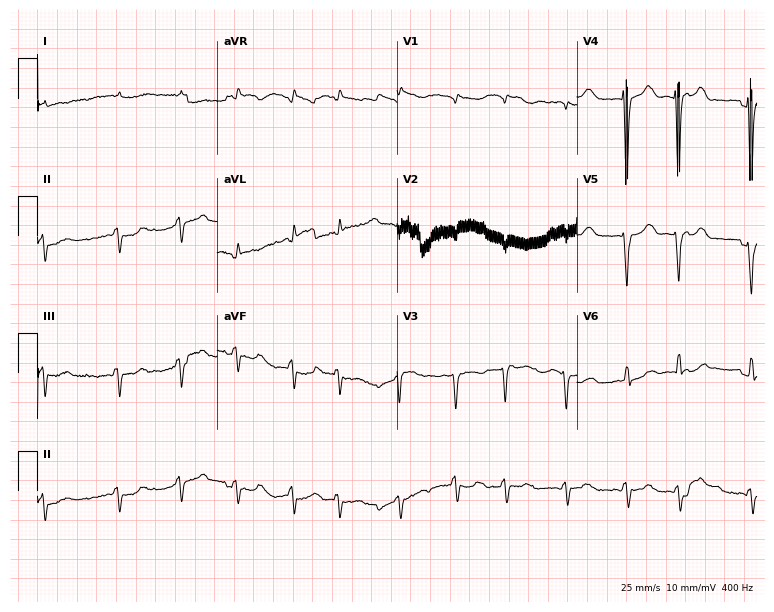
12-lead ECG from a 74-year-old female patient. Findings include atrial fibrillation.